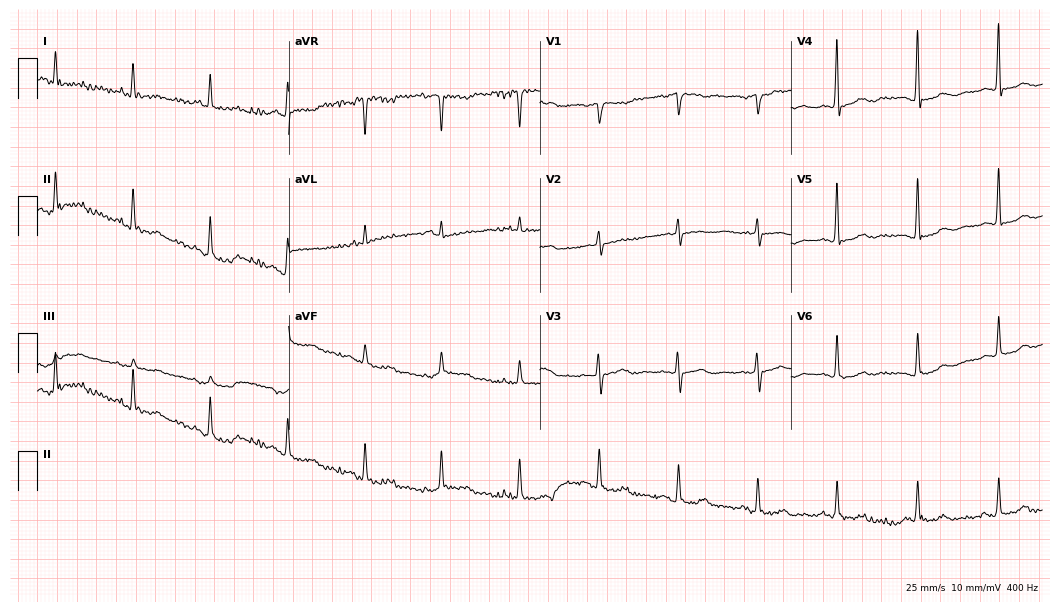
Electrocardiogram, a woman, 78 years old. Overall reading on record: normal ECG.